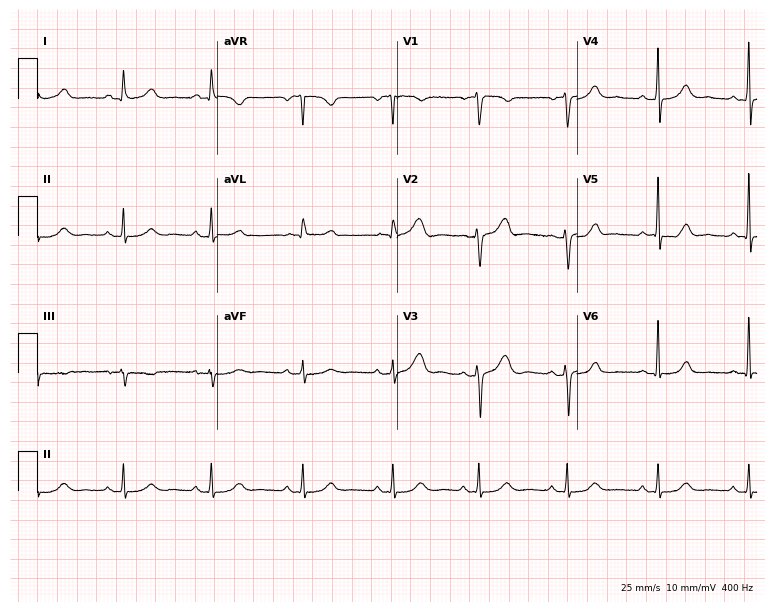
ECG (7.3-second recording at 400 Hz) — a female, 47 years old. Labelled as a normal ECG.